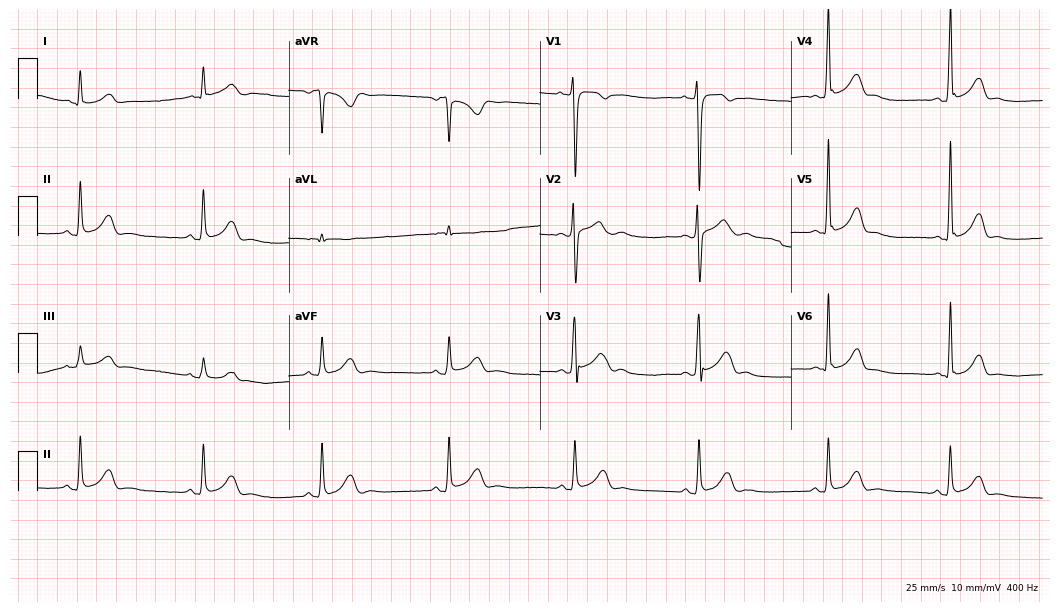
ECG — a male, 19 years old. Findings include sinus bradycardia (a sinus rate of 50 beats per minute or less).